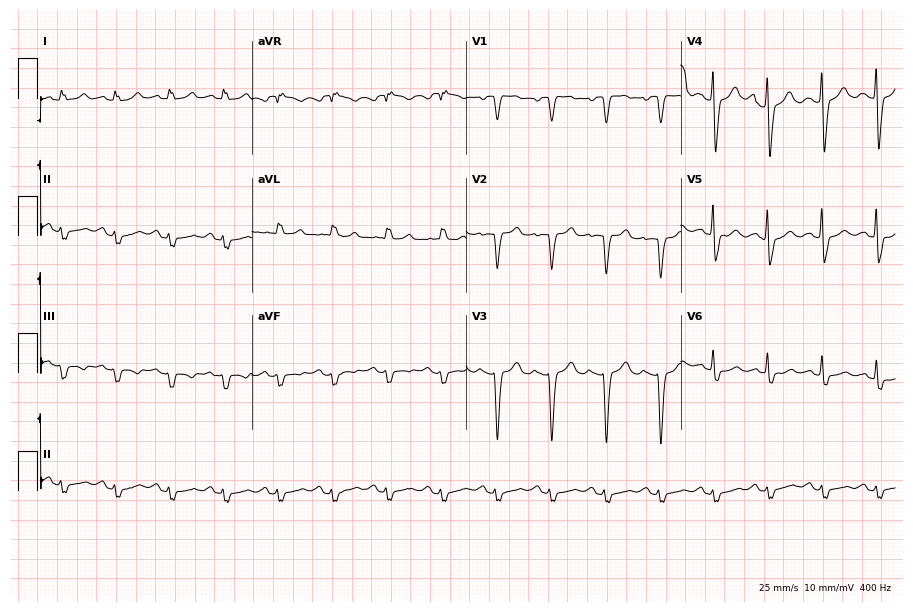
12-lead ECG from a 55-year-old female. Shows sinus tachycardia (a sinus rate of 100 beats per minute or more).